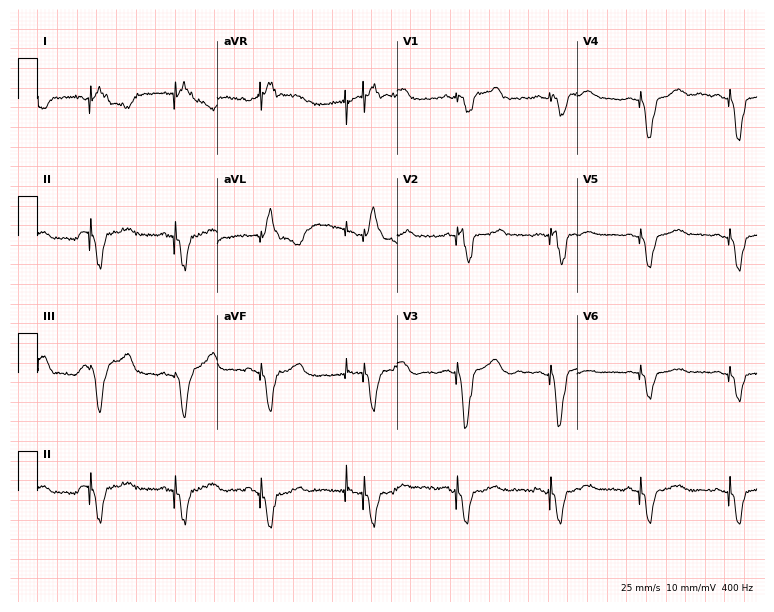
ECG (7.3-second recording at 400 Hz) — a male patient, 84 years old. Screened for six findings — first-degree AV block, right bundle branch block (RBBB), left bundle branch block (LBBB), sinus bradycardia, atrial fibrillation (AF), sinus tachycardia — none is recorded. Only these six findings were labelled.